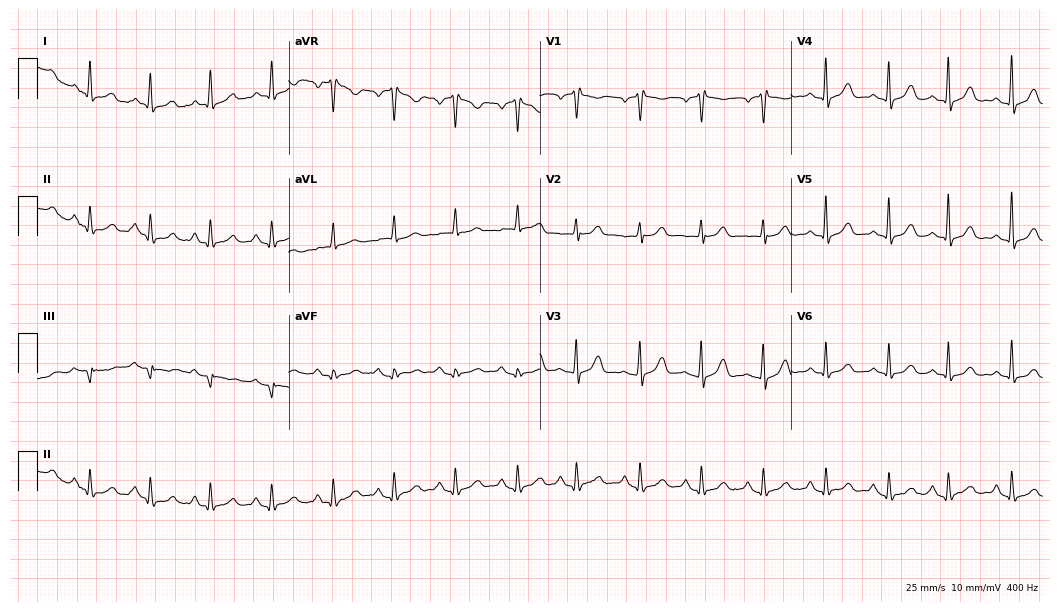
Standard 12-lead ECG recorded from a female patient, 77 years old (10.2-second recording at 400 Hz). Read as a normal ECG.